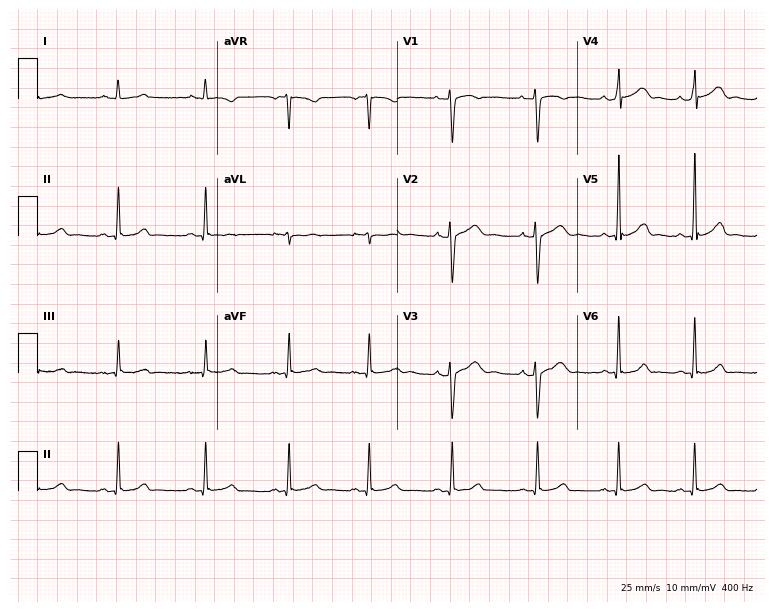
ECG (7.3-second recording at 400 Hz) — a 27-year-old female patient. Labelled as a normal ECG.